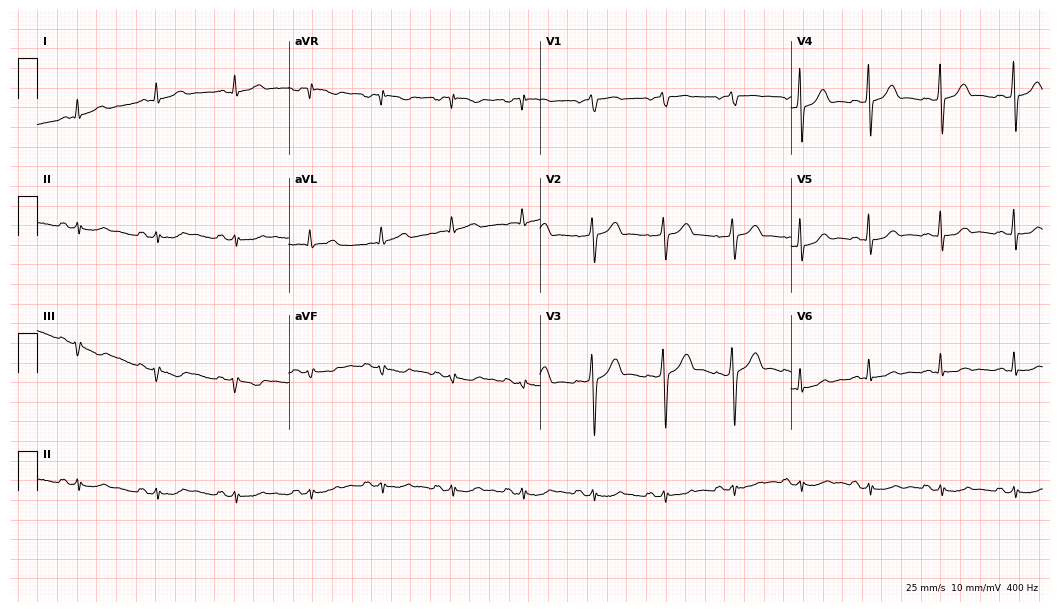
12-lead ECG from a man, 46 years old. Labelled as a normal ECG.